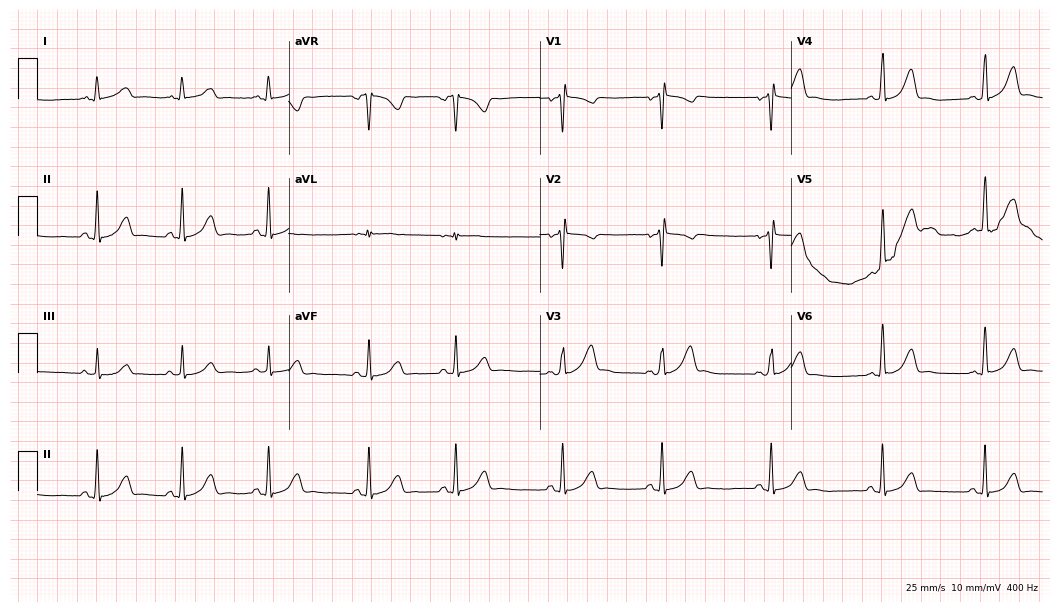
Electrocardiogram (10.2-second recording at 400 Hz), a 32-year-old female patient. Of the six screened findings (first-degree AV block, right bundle branch block (RBBB), left bundle branch block (LBBB), sinus bradycardia, atrial fibrillation (AF), sinus tachycardia), none is recorded. Other findings, if any, are not listed.